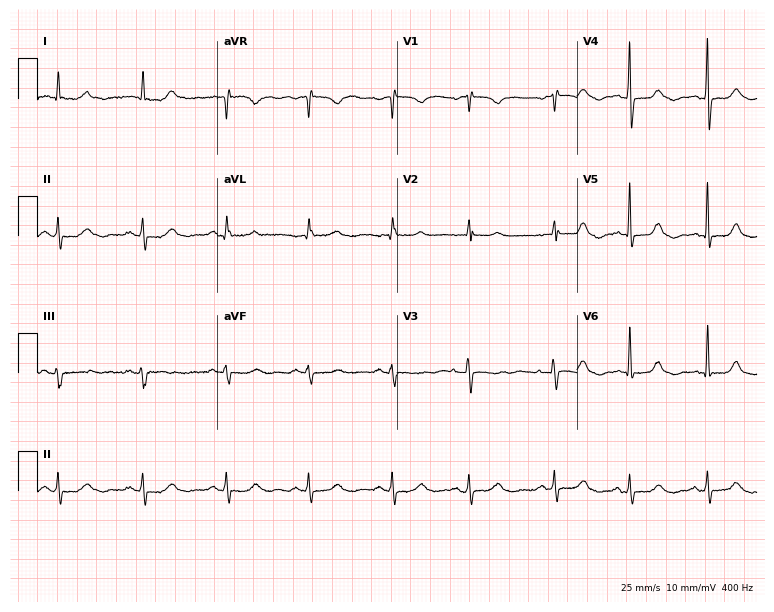
12-lead ECG from a 75-year-old woman. Labelled as a normal ECG.